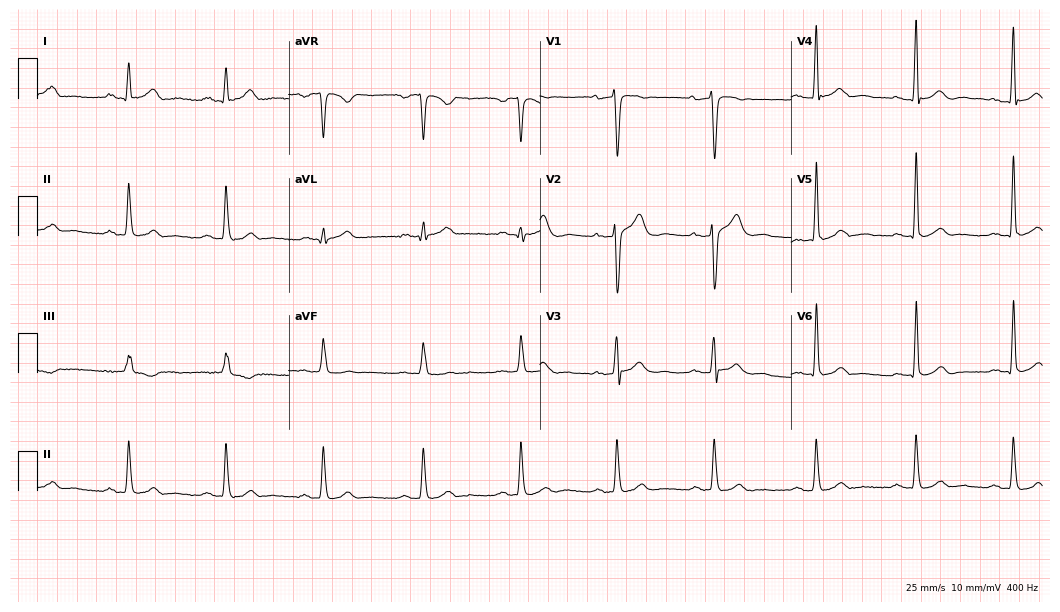
ECG — a 48-year-old male. Screened for six findings — first-degree AV block, right bundle branch block, left bundle branch block, sinus bradycardia, atrial fibrillation, sinus tachycardia — none is recorded. Other findings, if any, are not listed.